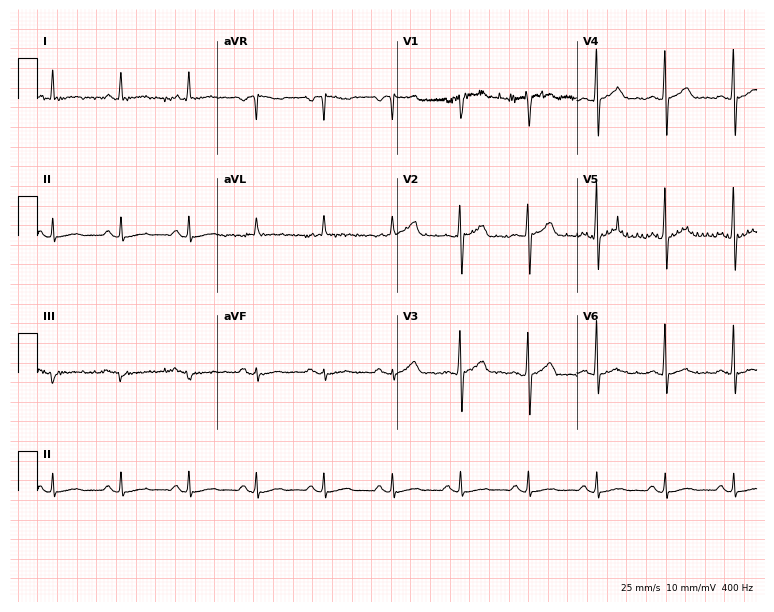
12-lead ECG from a 69-year-old man. Screened for six findings — first-degree AV block, right bundle branch block, left bundle branch block, sinus bradycardia, atrial fibrillation, sinus tachycardia — none is recorded. Only these six findings were labelled.